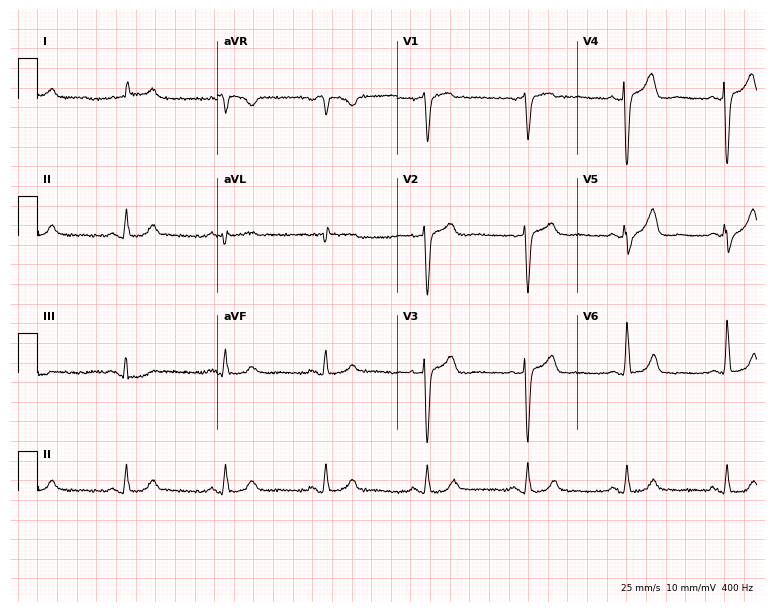
12-lead ECG from a 67-year-old male patient. Labelled as a normal ECG.